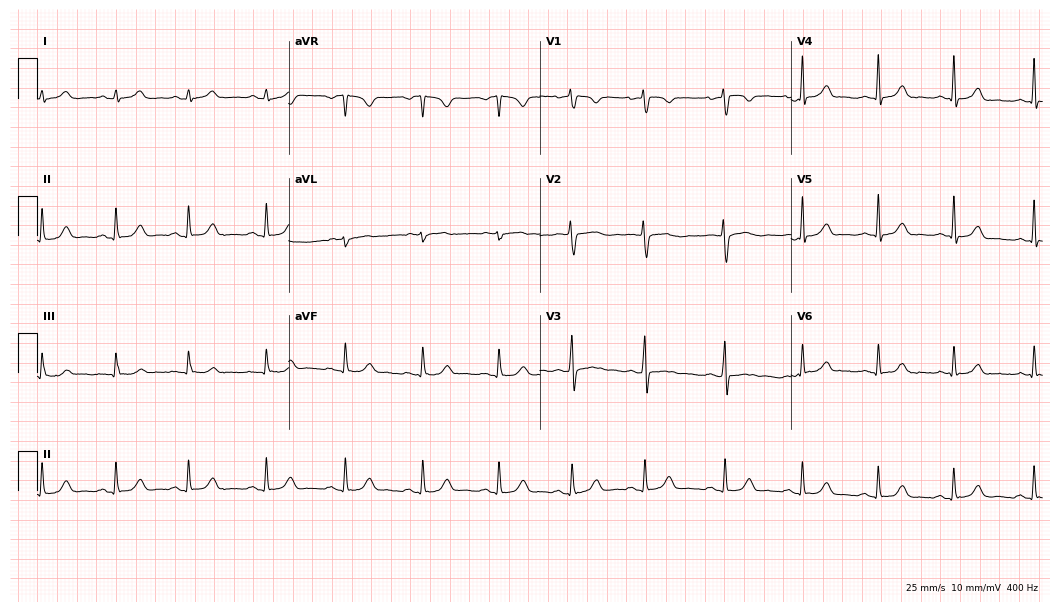
Standard 12-lead ECG recorded from an 18-year-old female patient. Read as a normal ECG.